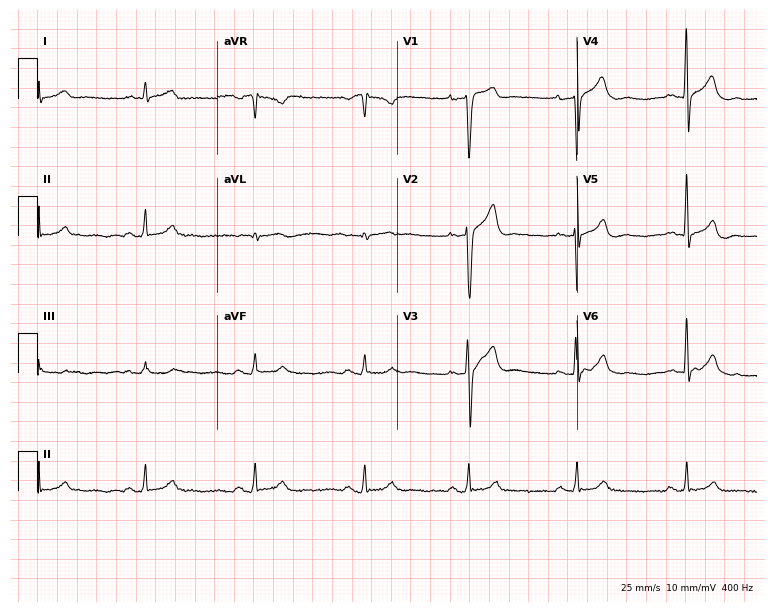
12-lead ECG from a 43-year-old male patient (7.3-second recording at 400 Hz). Recorded interpretation: within normal limits.